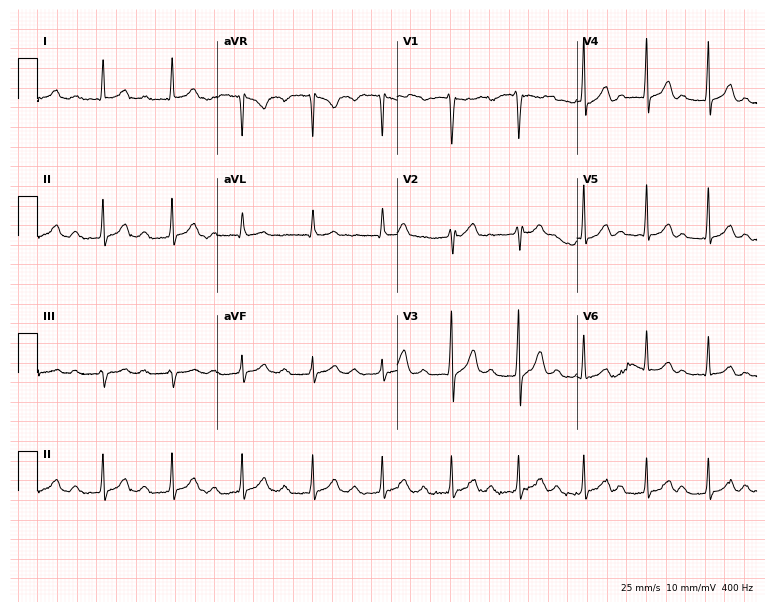
ECG (7.3-second recording at 400 Hz) — a 45-year-old man. Findings include first-degree AV block.